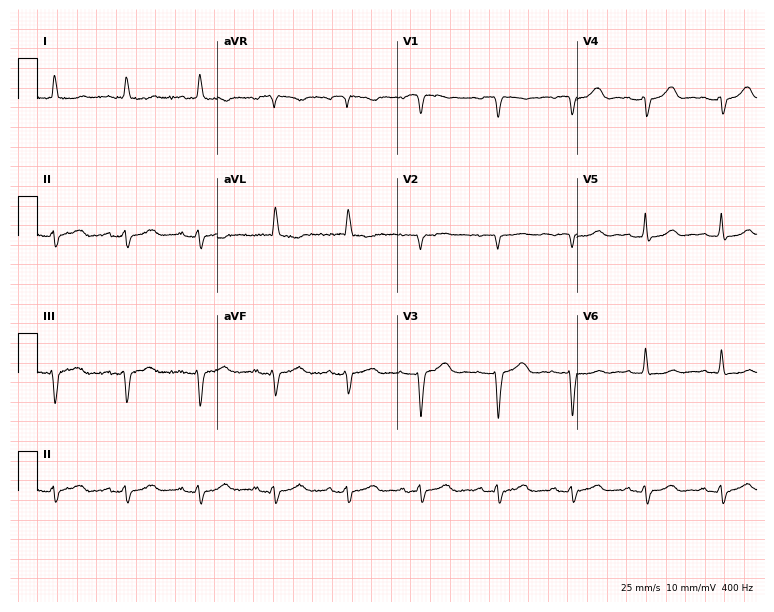
Resting 12-lead electrocardiogram (7.3-second recording at 400 Hz). Patient: a female, 74 years old. None of these six findings is recorded: first-degree AV block, right bundle branch block, left bundle branch block, sinus bradycardia, atrial fibrillation, sinus tachycardia.